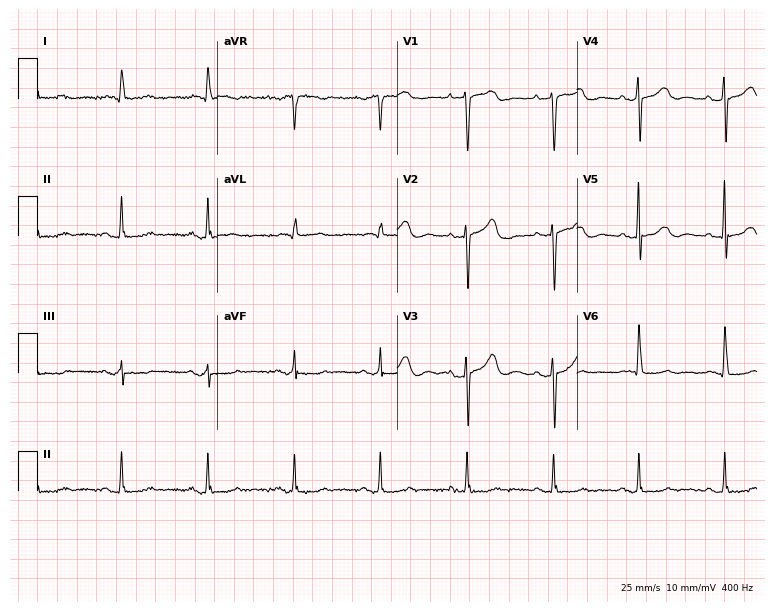
Electrocardiogram (7.3-second recording at 400 Hz), a female patient, 80 years old. Of the six screened findings (first-degree AV block, right bundle branch block (RBBB), left bundle branch block (LBBB), sinus bradycardia, atrial fibrillation (AF), sinus tachycardia), none is recorded.